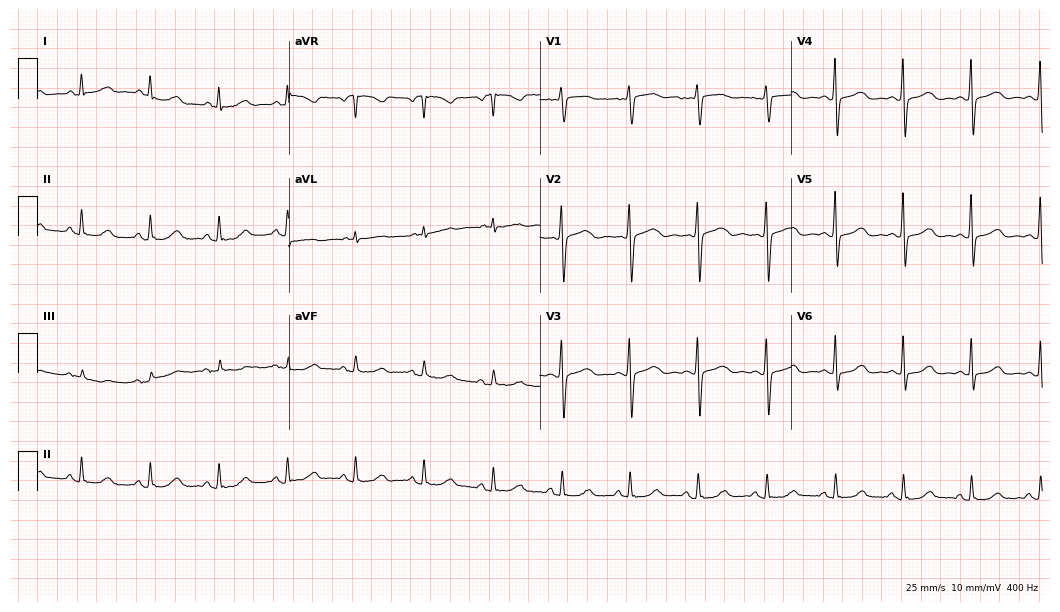
Resting 12-lead electrocardiogram (10.2-second recording at 400 Hz). Patient: a female, 61 years old. Read as a normal ECG.